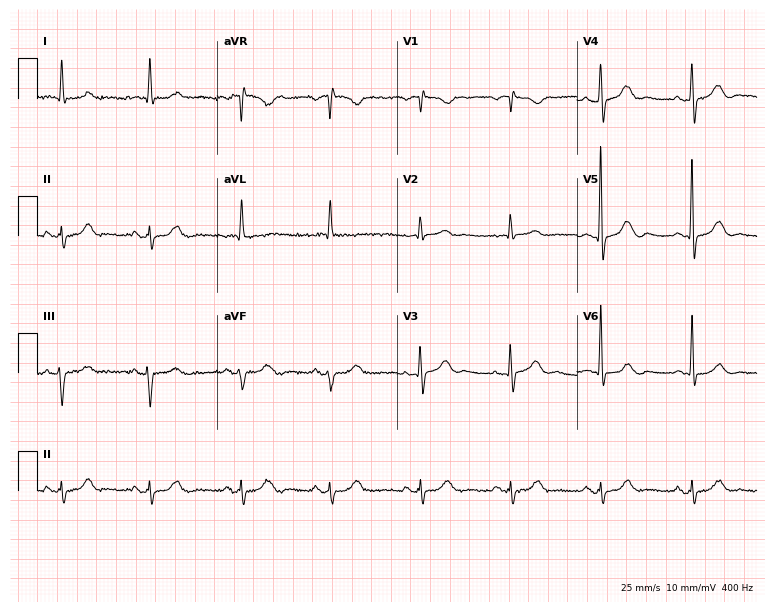
ECG — an 82-year-old female patient. Screened for six findings — first-degree AV block, right bundle branch block, left bundle branch block, sinus bradycardia, atrial fibrillation, sinus tachycardia — none is recorded. Findings outside these six are not listed.